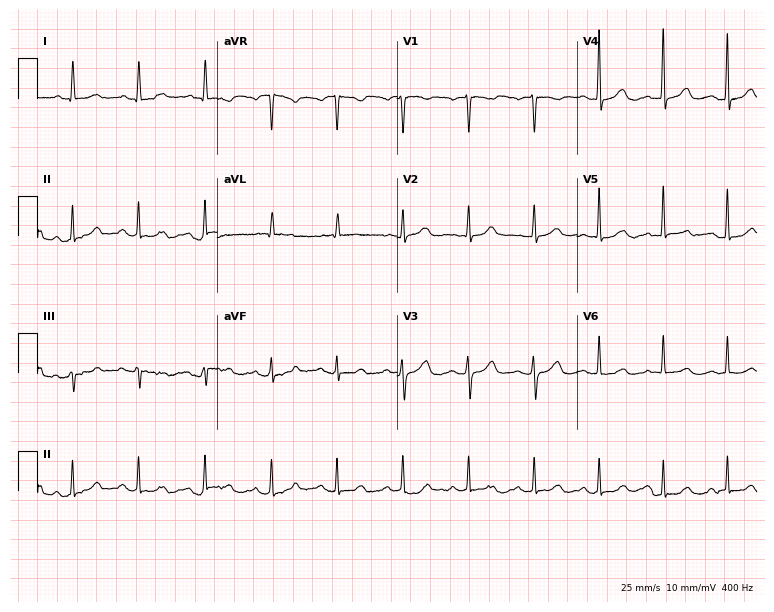
Electrocardiogram, a 43-year-old woman. Overall reading on record: normal ECG.